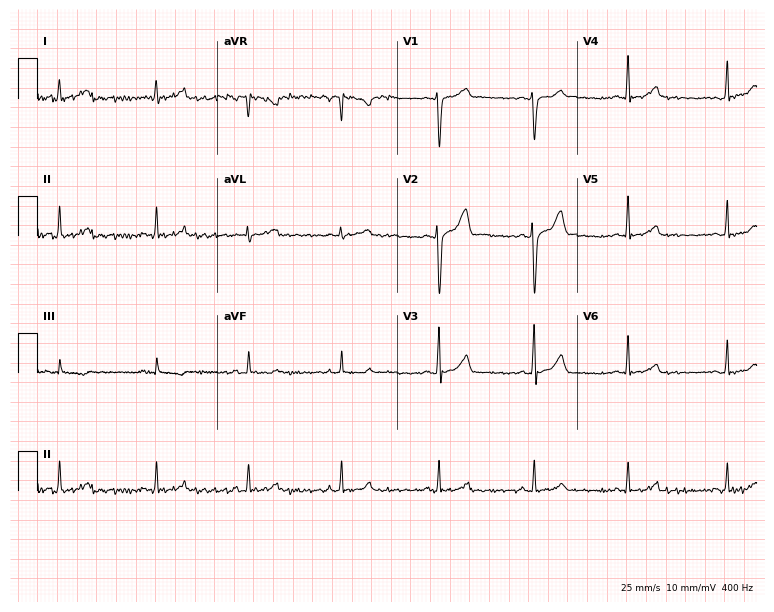
Resting 12-lead electrocardiogram (7.3-second recording at 400 Hz). Patient: a 42-year-old male. Read as a normal ECG.